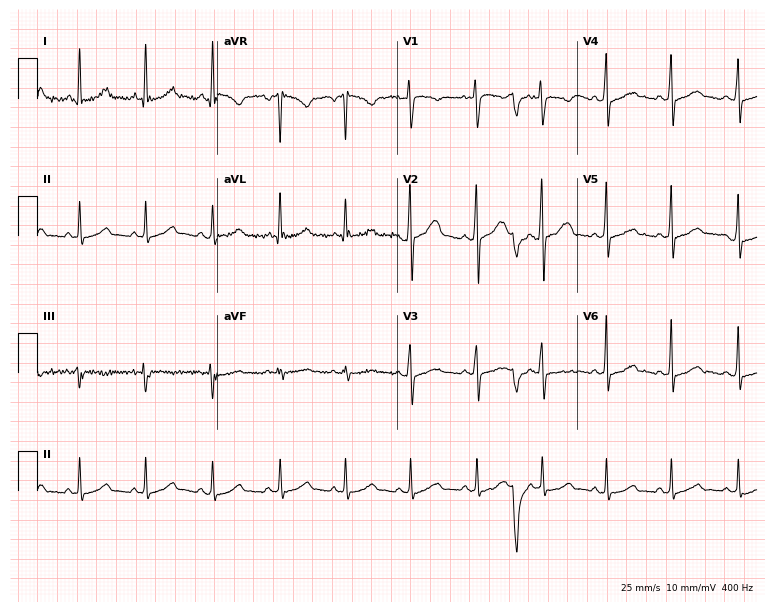
12-lead ECG from a 32-year-old woman. Recorded interpretation: within normal limits.